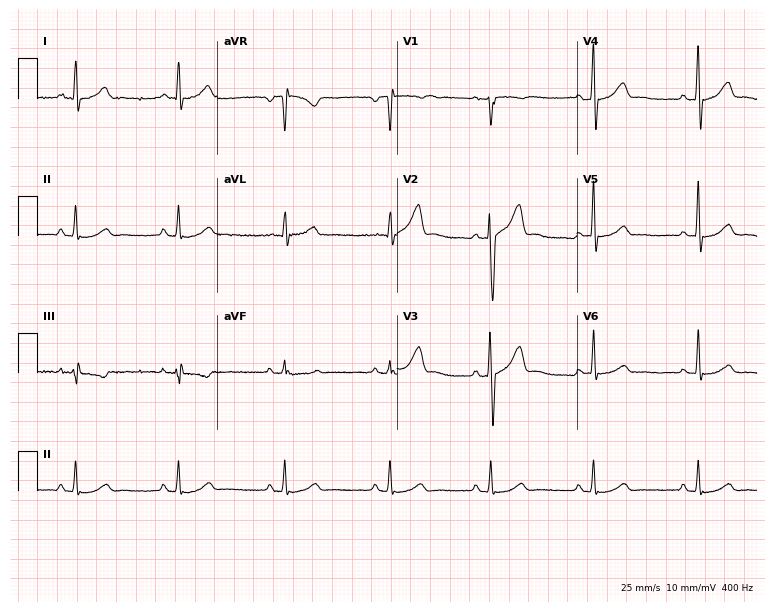
Electrocardiogram, a male patient, 42 years old. Overall reading on record: normal ECG.